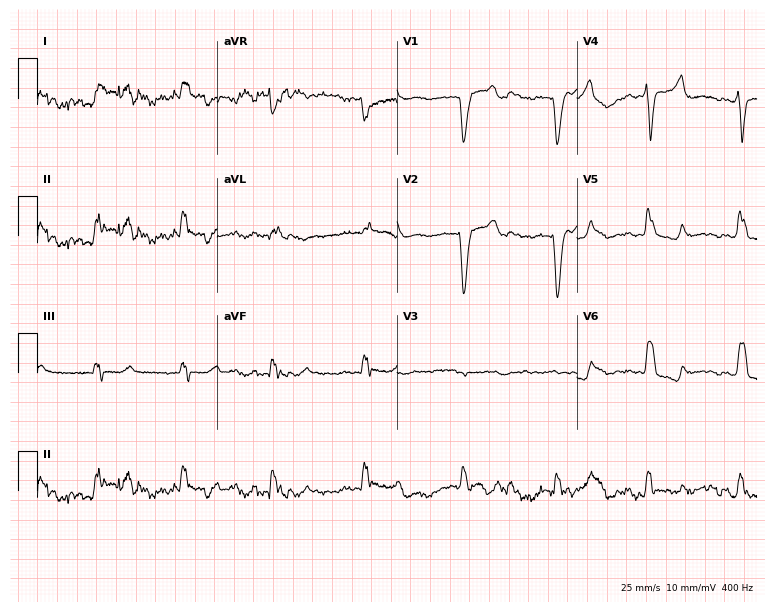
12-lead ECG from an 80-year-old female patient. Shows left bundle branch block (LBBB), sinus tachycardia (a sinus rate of 100 beats per minute or more).